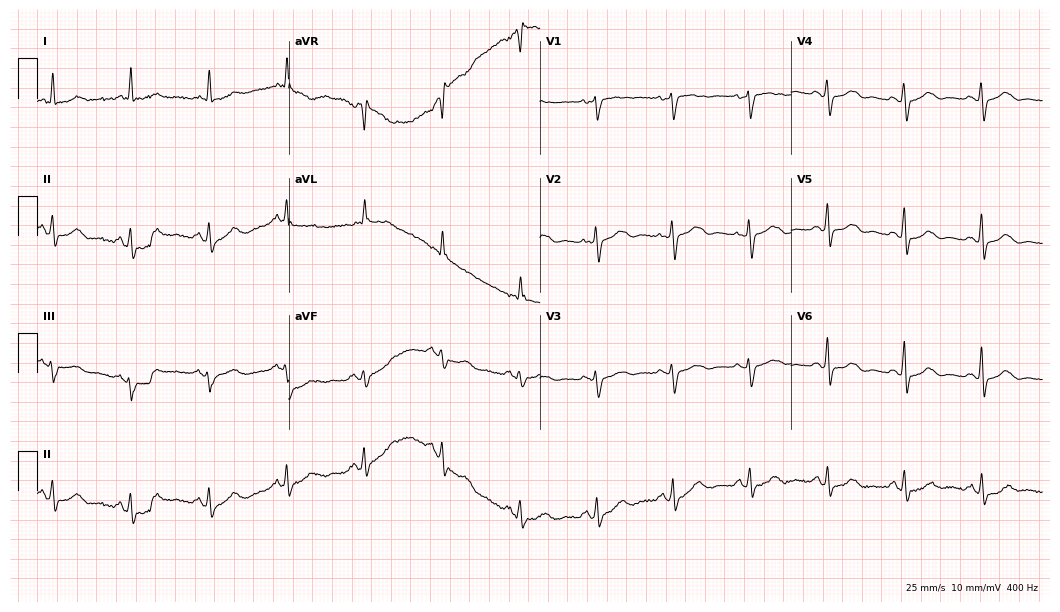
12-lead ECG (10.2-second recording at 400 Hz) from a woman, 55 years old. Screened for six findings — first-degree AV block, right bundle branch block, left bundle branch block, sinus bradycardia, atrial fibrillation, sinus tachycardia — none is recorded. Only these six findings were labelled.